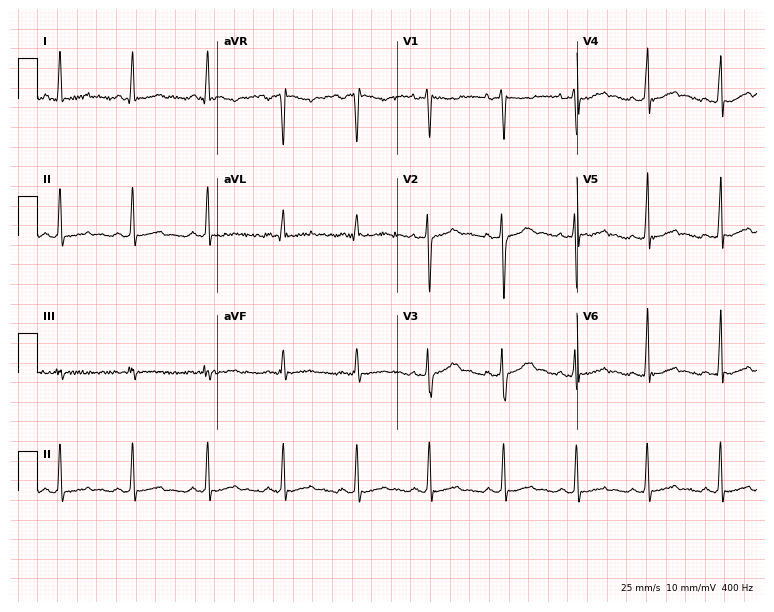
Electrocardiogram, a 30-year-old woman. Overall reading on record: normal ECG.